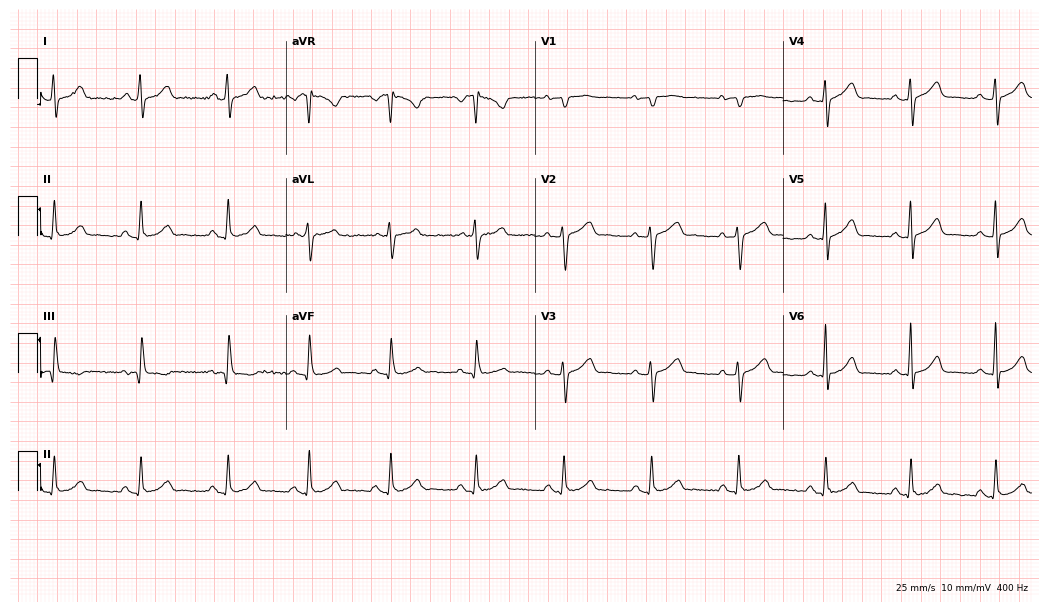
12-lead ECG (10.1-second recording at 400 Hz) from a female patient, 24 years old. Labelled as a normal ECG.